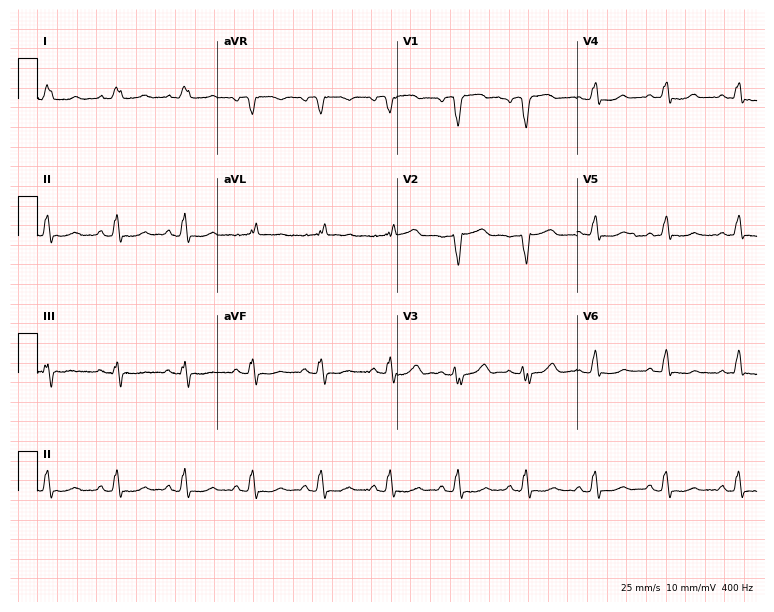
Electrocardiogram (7.3-second recording at 400 Hz), a 60-year-old female patient. Of the six screened findings (first-degree AV block, right bundle branch block, left bundle branch block, sinus bradycardia, atrial fibrillation, sinus tachycardia), none is recorded.